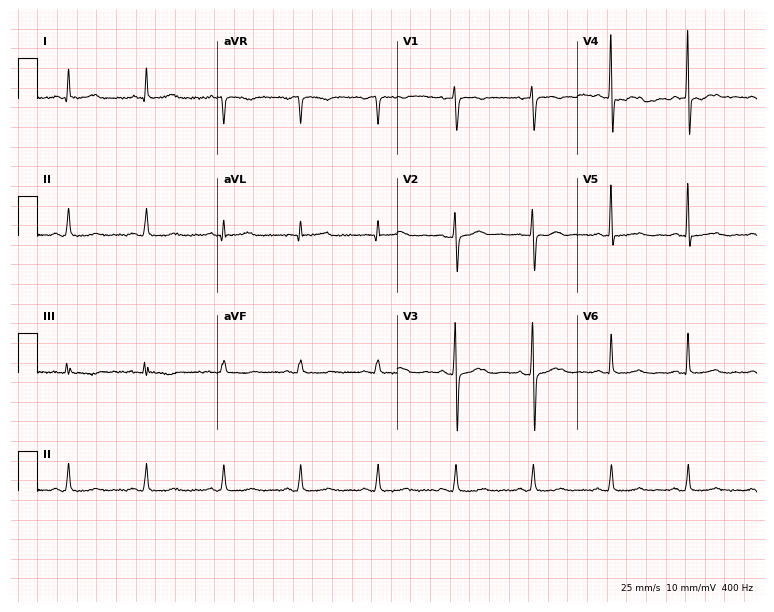
Electrocardiogram (7.3-second recording at 400 Hz), a female, 51 years old. Of the six screened findings (first-degree AV block, right bundle branch block (RBBB), left bundle branch block (LBBB), sinus bradycardia, atrial fibrillation (AF), sinus tachycardia), none is recorded.